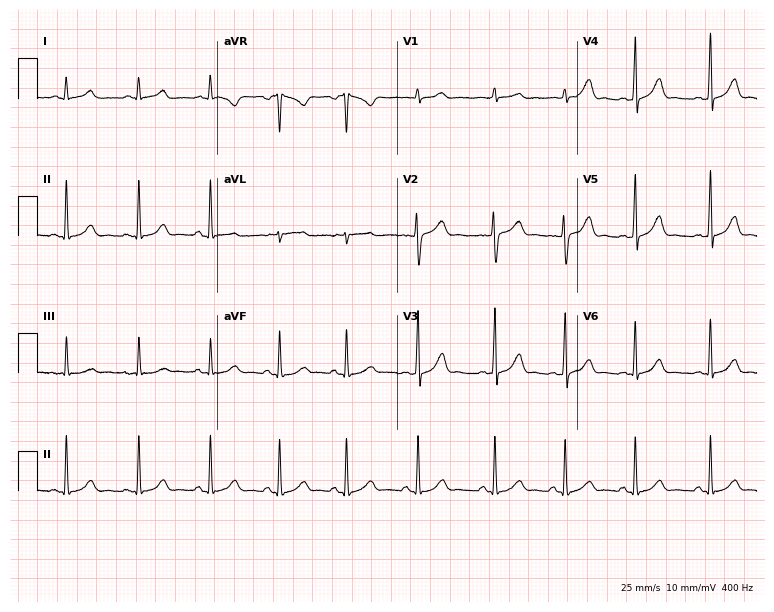
12-lead ECG from a female, 27 years old. Screened for six findings — first-degree AV block, right bundle branch block (RBBB), left bundle branch block (LBBB), sinus bradycardia, atrial fibrillation (AF), sinus tachycardia — none is recorded. Findings outside these six are not listed.